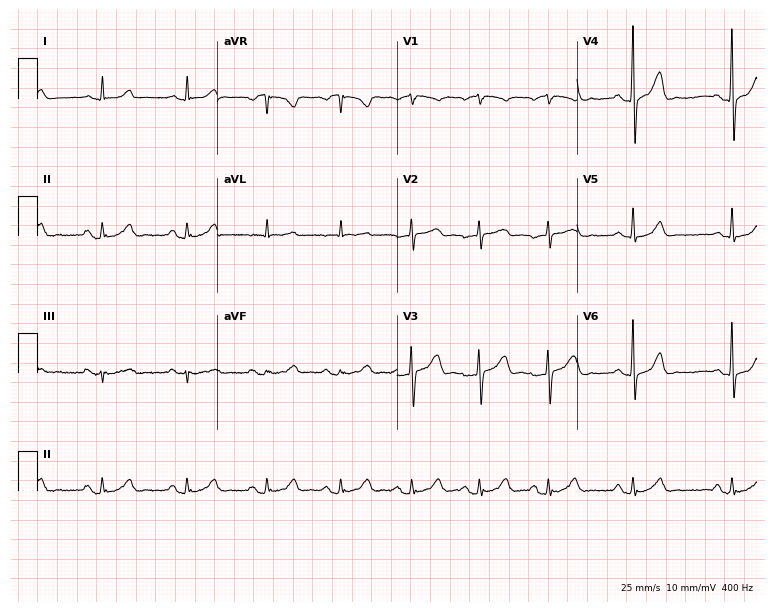
Electrocardiogram (7.3-second recording at 400 Hz), a female, 50 years old. Overall reading on record: normal ECG.